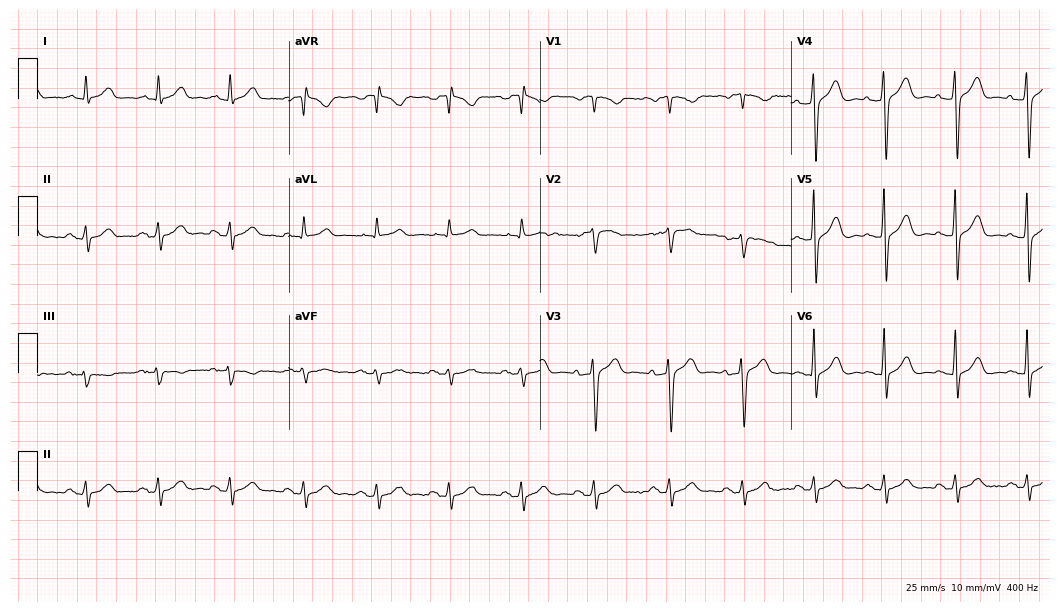
Standard 12-lead ECG recorded from a 64-year-old man. Read as a normal ECG.